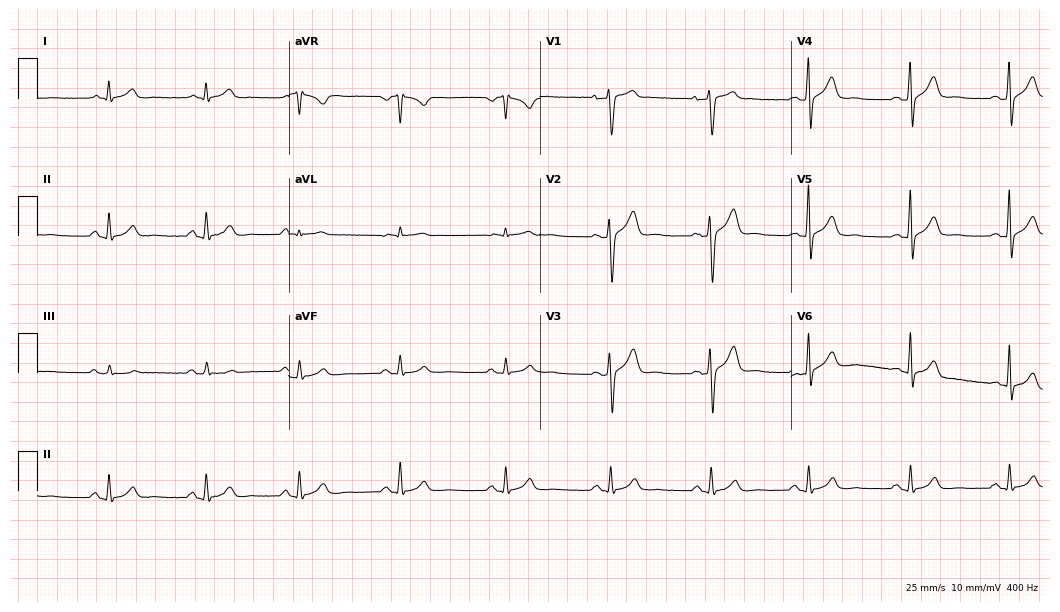
ECG (10.2-second recording at 400 Hz) — a 30-year-old male. Screened for six findings — first-degree AV block, right bundle branch block, left bundle branch block, sinus bradycardia, atrial fibrillation, sinus tachycardia — none is recorded. Findings outside these six are not listed.